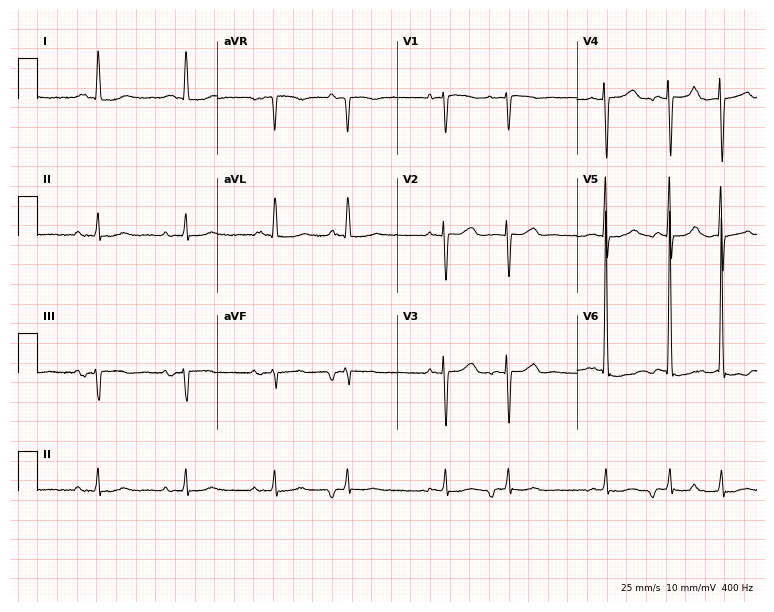
12-lead ECG from a female patient, 73 years old. No first-degree AV block, right bundle branch block (RBBB), left bundle branch block (LBBB), sinus bradycardia, atrial fibrillation (AF) or sinus tachycardia recorded for this tracing. Other findings, if any, are not listed.